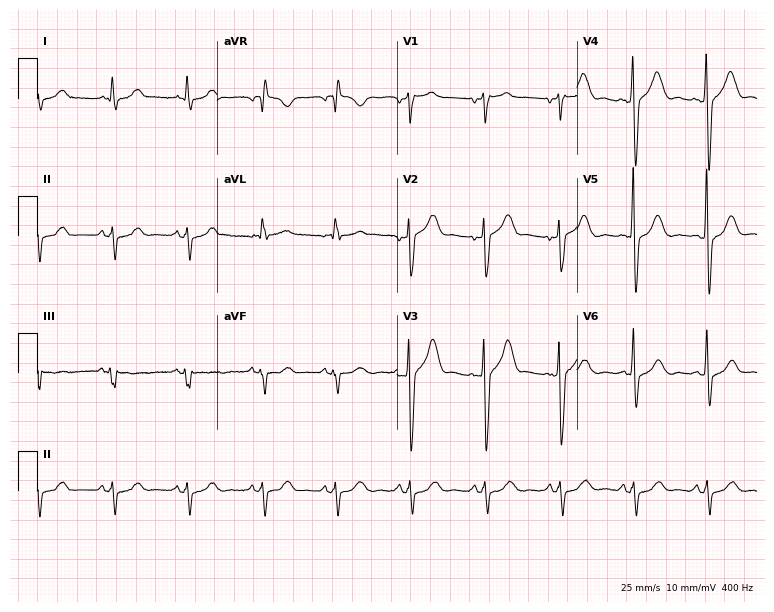
12-lead ECG from a 61-year-old man (7.3-second recording at 400 Hz). No first-degree AV block, right bundle branch block, left bundle branch block, sinus bradycardia, atrial fibrillation or sinus tachycardia recorded for this tracing.